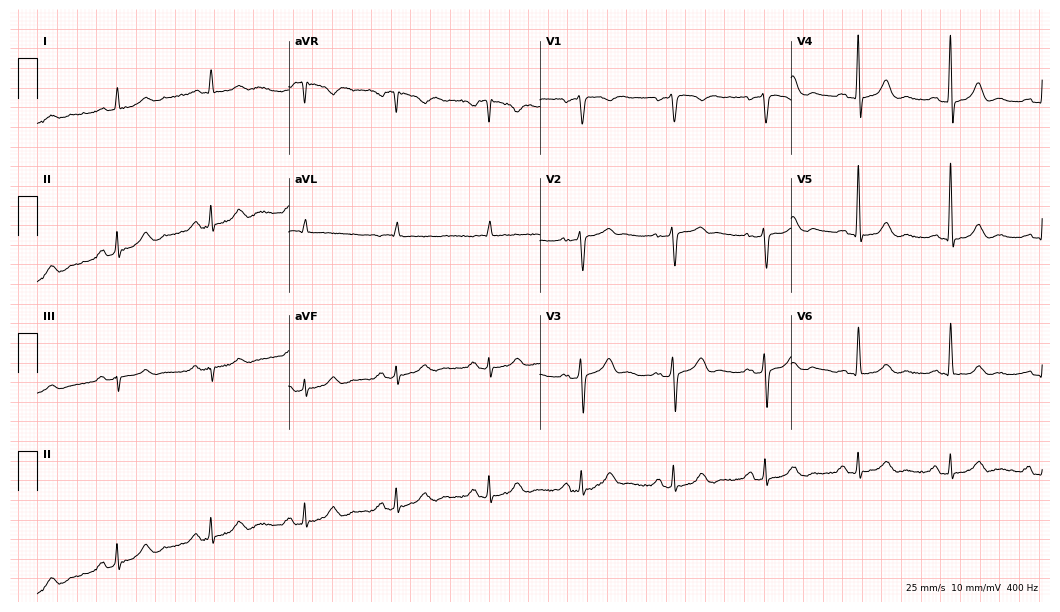
Standard 12-lead ECG recorded from a 79-year-old male (10.2-second recording at 400 Hz). Read as a normal ECG.